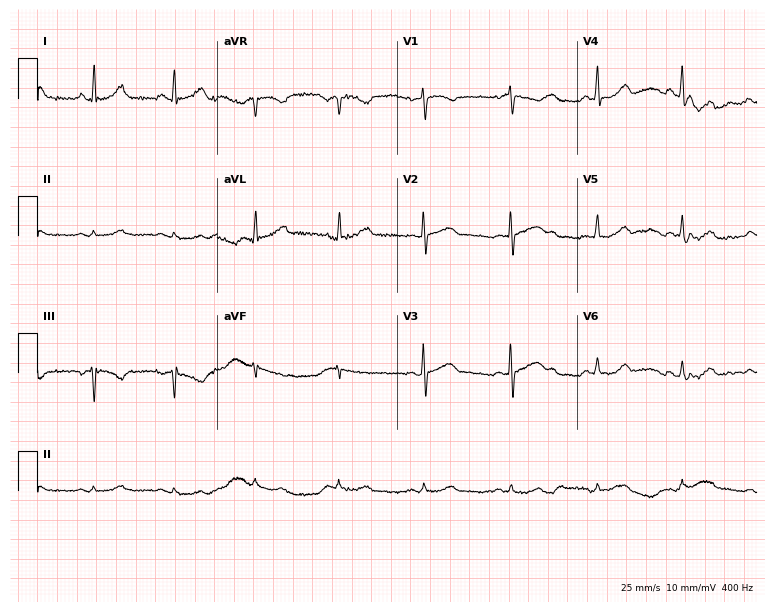
Electrocardiogram, a woman, 59 years old. Of the six screened findings (first-degree AV block, right bundle branch block, left bundle branch block, sinus bradycardia, atrial fibrillation, sinus tachycardia), none is recorded. Other findings, if any, are not listed.